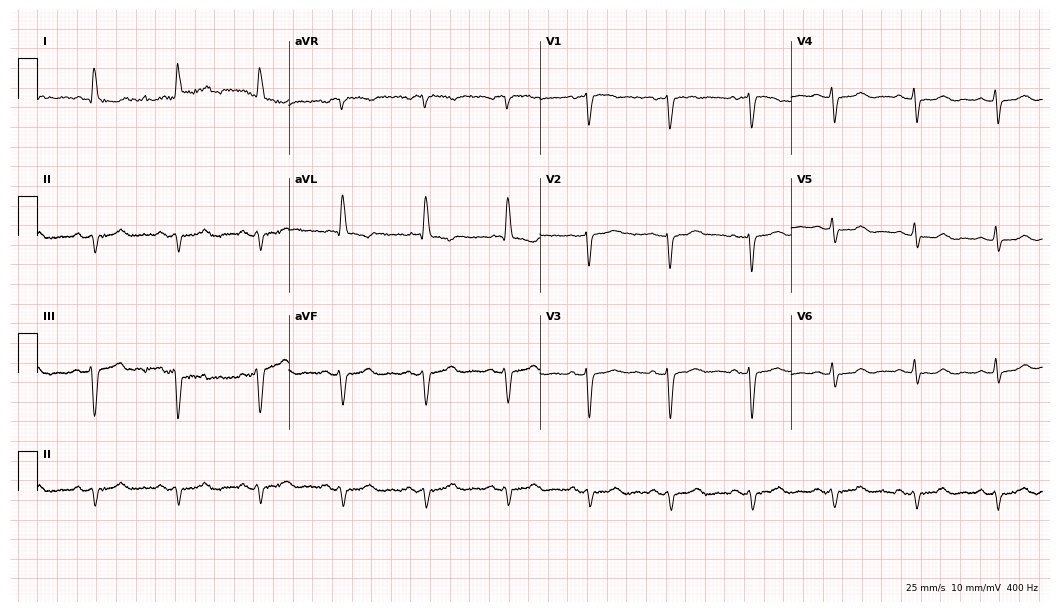
Electrocardiogram, a 74-year-old female patient. Of the six screened findings (first-degree AV block, right bundle branch block, left bundle branch block, sinus bradycardia, atrial fibrillation, sinus tachycardia), none is recorded. Other findings, if any, are not listed.